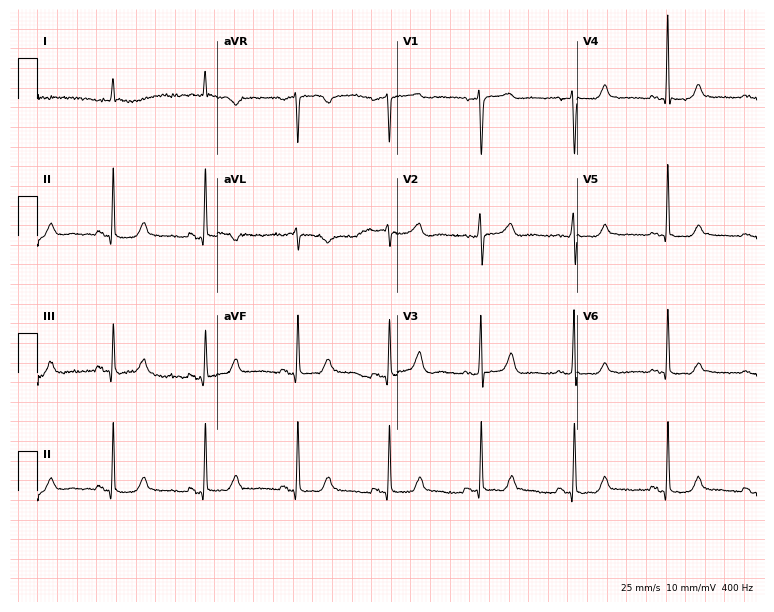
12-lead ECG from a female patient, 63 years old (7.3-second recording at 400 Hz). Recorded interpretation: within normal limits.